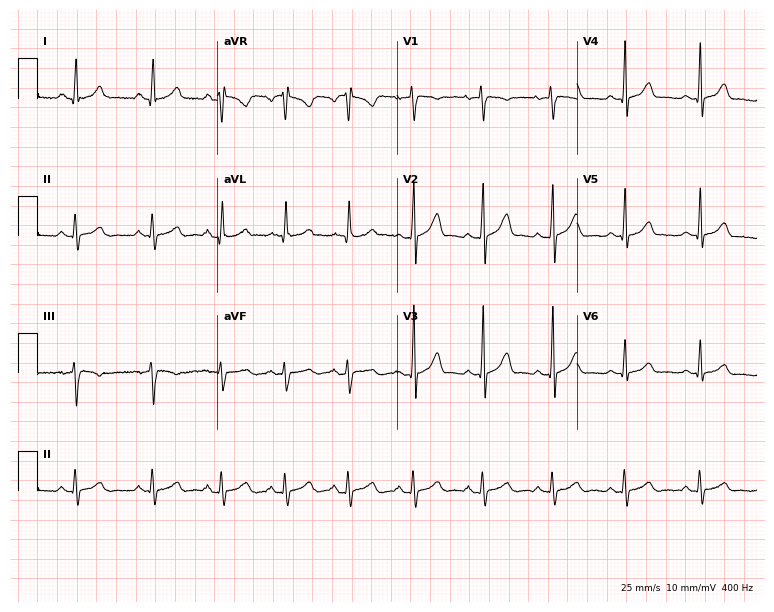
12-lead ECG from a 31-year-old female (7.3-second recording at 400 Hz). No first-degree AV block, right bundle branch block, left bundle branch block, sinus bradycardia, atrial fibrillation or sinus tachycardia recorded for this tracing. Findings outside these six are not listed.